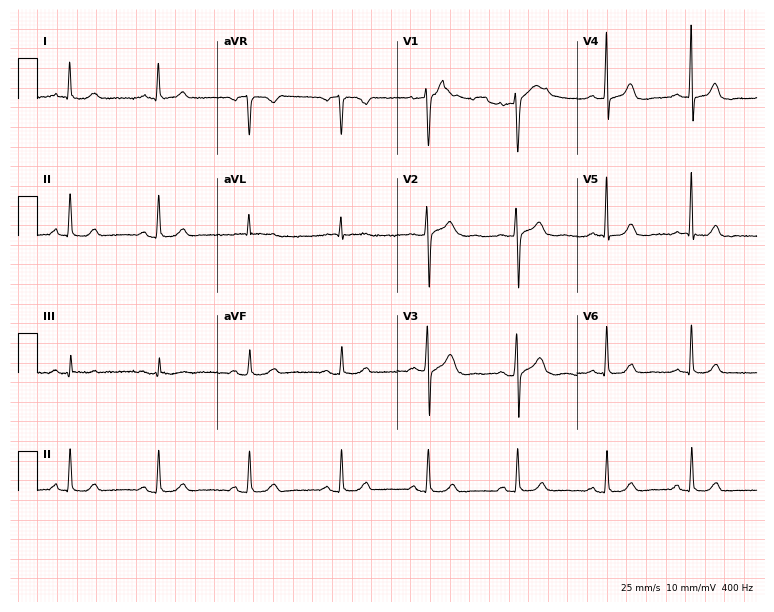
ECG — a female patient, 37 years old. Labelled as a normal ECG.